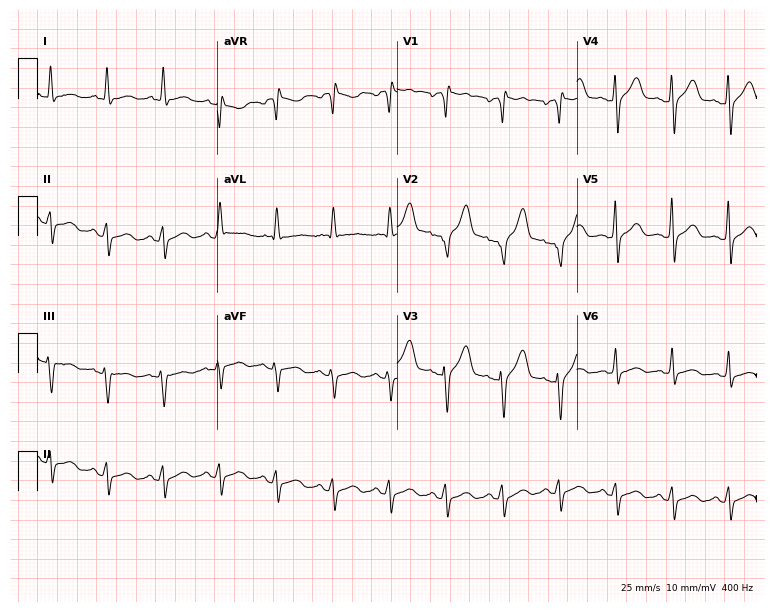
Resting 12-lead electrocardiogram (7.3-second recording at 400 Hz). Patient: a 47-year-old male. None of these six findings is recorded: first-degree AV block, right bundle branch block, left bundle branch block, sinus bradycardia, atrial fibrillation, sinus tachycardia.